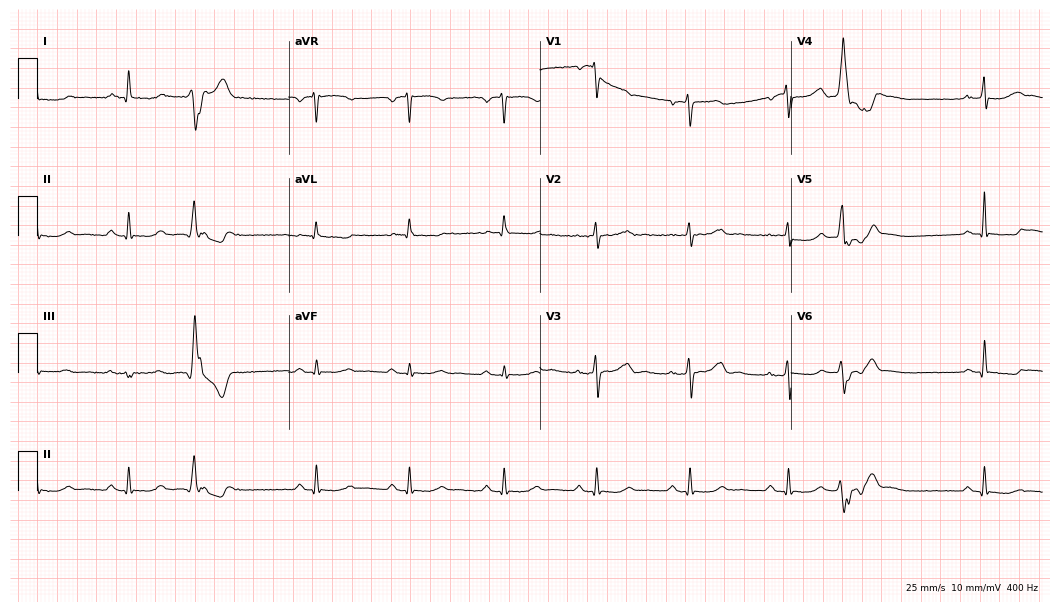
12-lead ECG (10.2-second recording at 400 Hz) from a 58-year-old female. Labelled as a normal ECG.